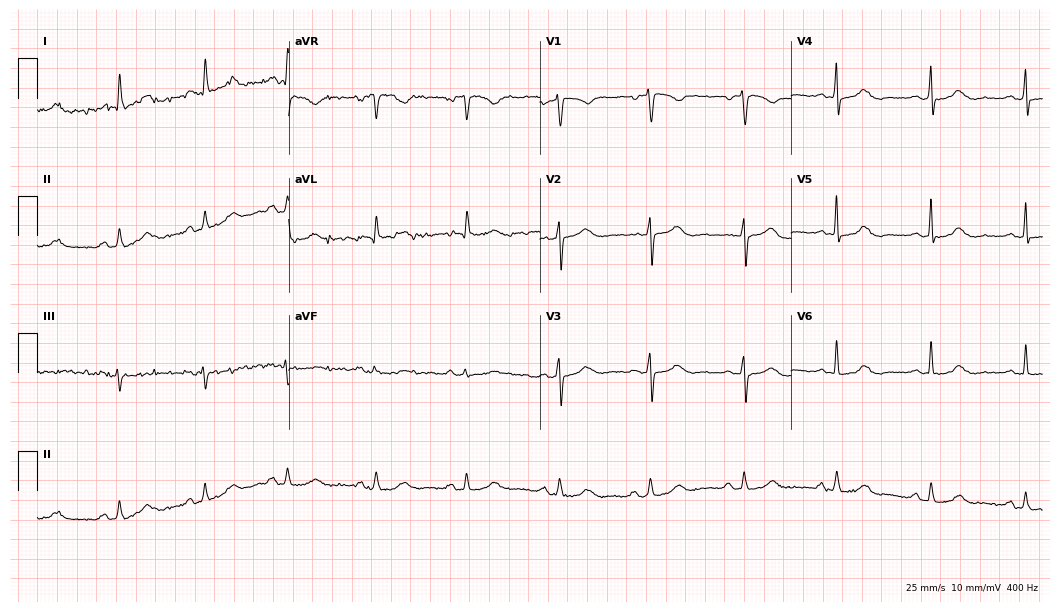
ECG — an 80-year-old female patient. Labelled as a normal ECG.